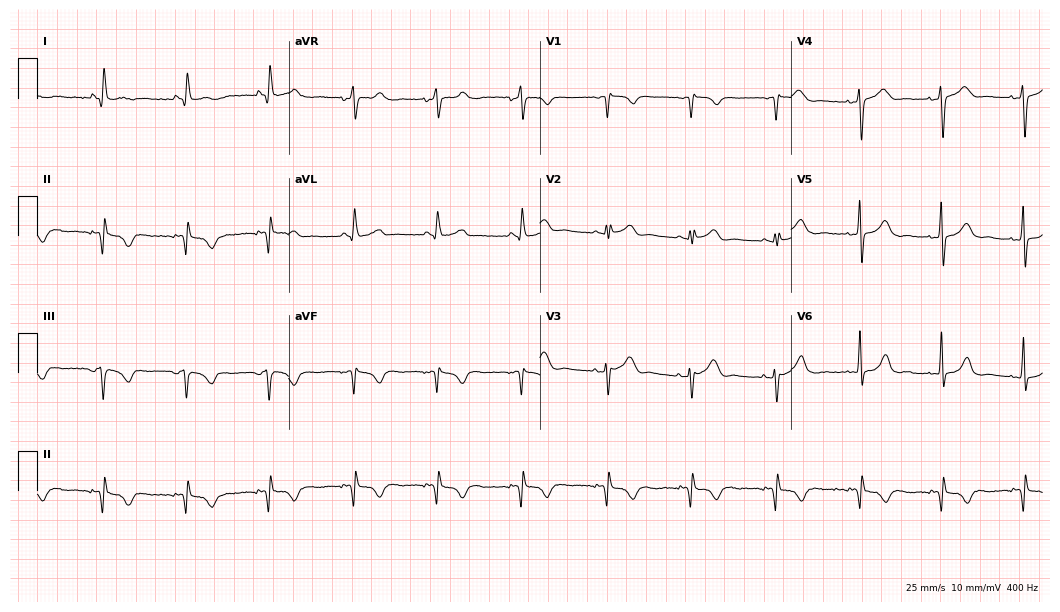
ECG — a female, 46 years old. Screened for six findings — first-degree AV block, right bundle branch block, left bundle branch block, sinus bradycardia, atrial fibrillation, sinus tachycardia — none is recorded.